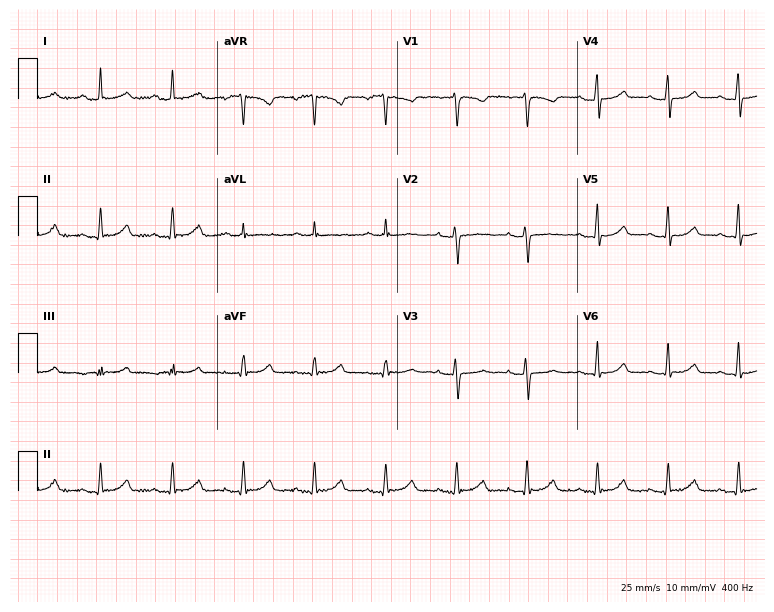
Standard 12-lead ECG recorded from a 50-year-old female (7.3-second recording at 400 Hz). None of these six findings is recorded: first-degree AV block, right bundle branch block (RBBB), left bundle branch block (LBBB), sinus bradycardia, atrial fibrillation (AF), sinus tachycardia. Only these six findings were labelled.